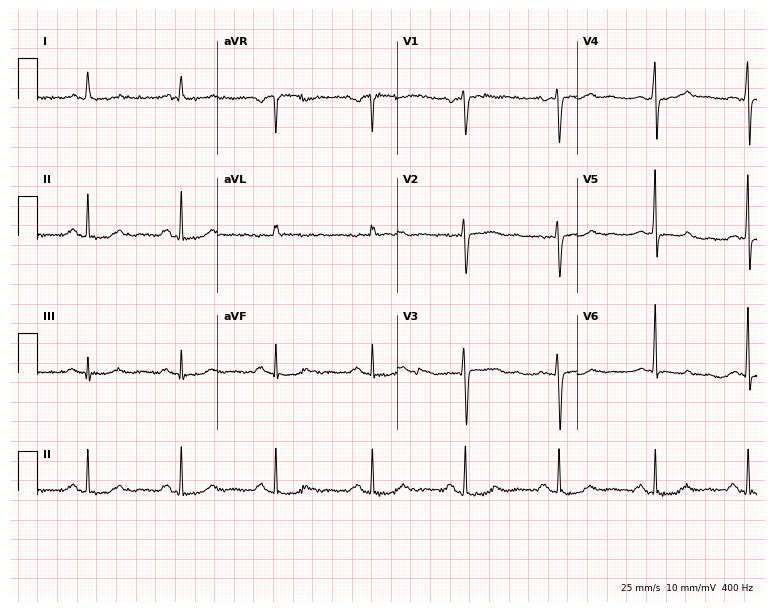
12-lead ECG from a 56-year-old female patient. Labelled as a normal ECG.